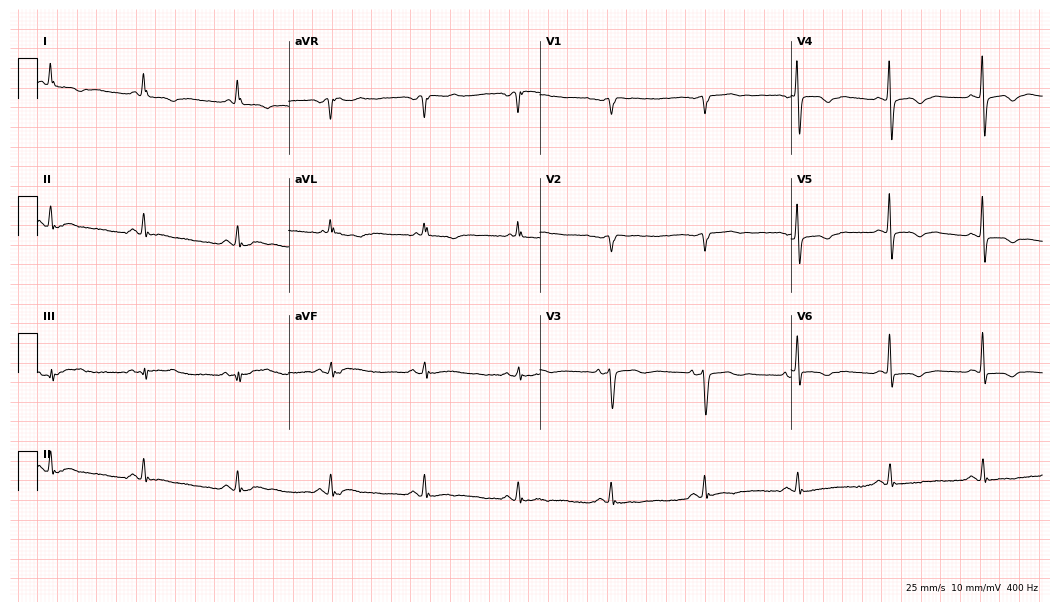
12-lead ECG from a female patient, 73 years old. No first-degree AV block, right bundle branch block, left bundle branch block, sinus bradycardia, atrial fibrillation or sinus tachycardia recorded for this tracing. Findings outside these six are not listed.